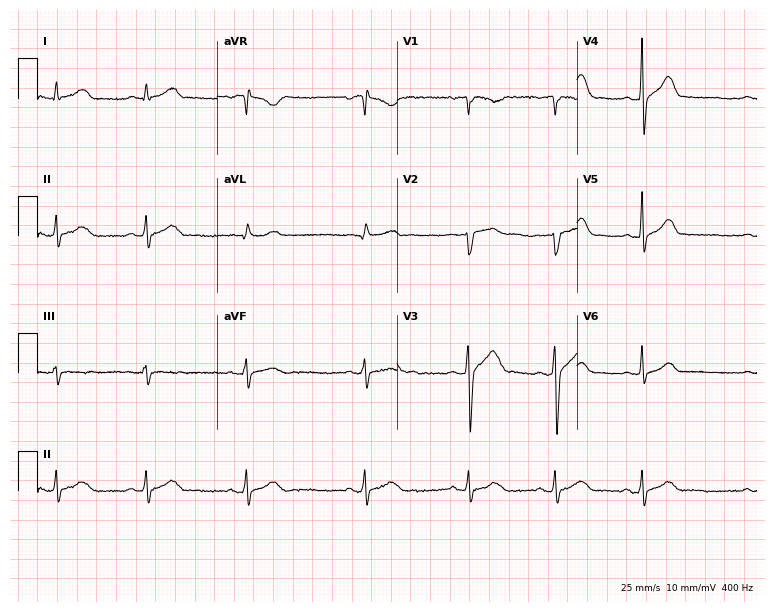
Electrocardiogram (7.3-second recording at 400 Hz), a man, 25 years old. Of the six screened findings (first-degree AV block, right bundle branch block (RBBB), left bundle branch block (LBBB), sinus bradycardia, atrial fibrillation (AF), sinus tachycardia), none is recorded.